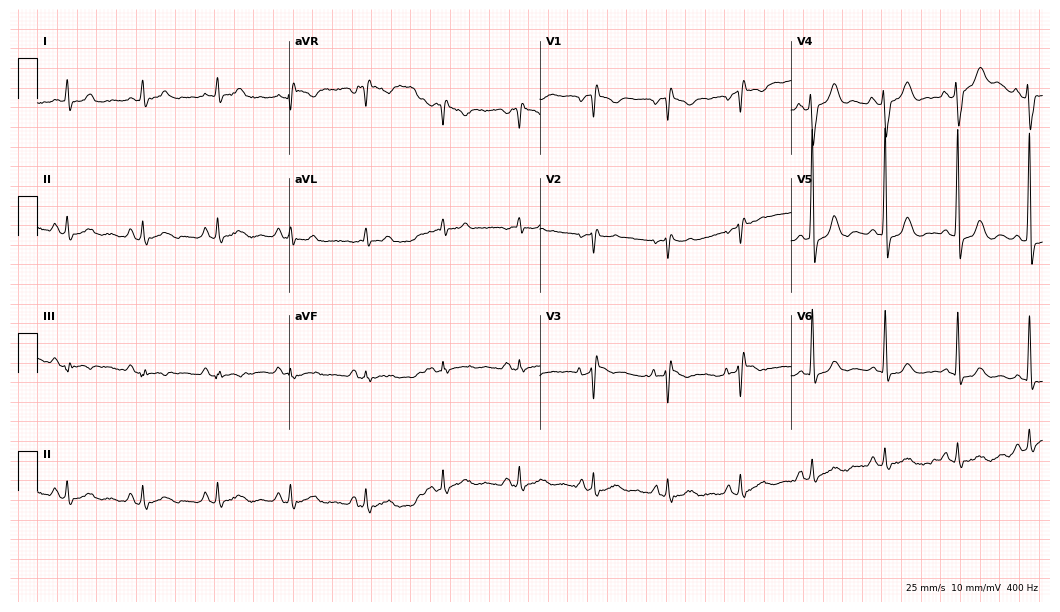
Standard 12-lead ECG recorded from a male patient, 65 years old. None of these six findings is recorded: first-degree AV block, right bundle branch block, left bundle branch block, sinus bradycardia, atrial fibrillation, sinus tachycardia. Only these six findings were labelled.